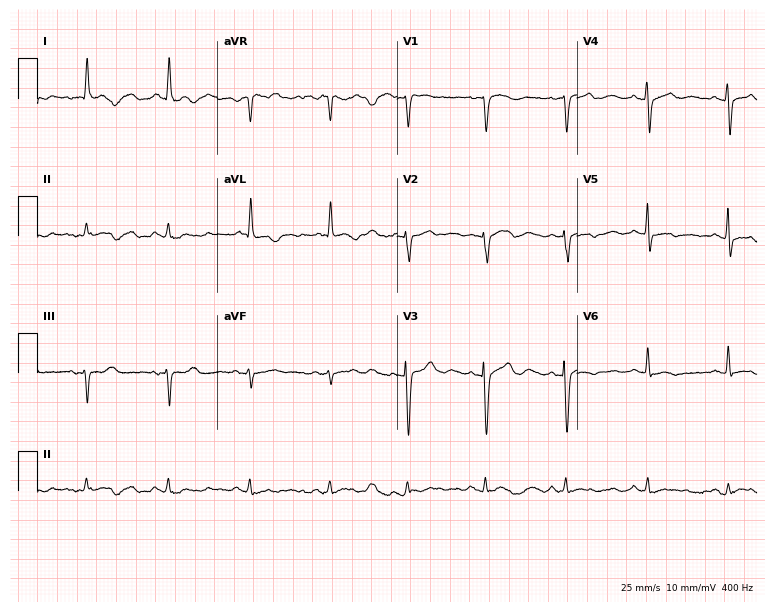
Standard 12-lead ECG recorded from a 74-year-old woman (7.3-second recording at 400 Hz). None of these six findings is recorded: first-degree AV block, right bundle branch block (RBBB), left bundle branch block (LBBB), sinus bradycardia, atrial fibrillation (AF), sinus tachycardia.